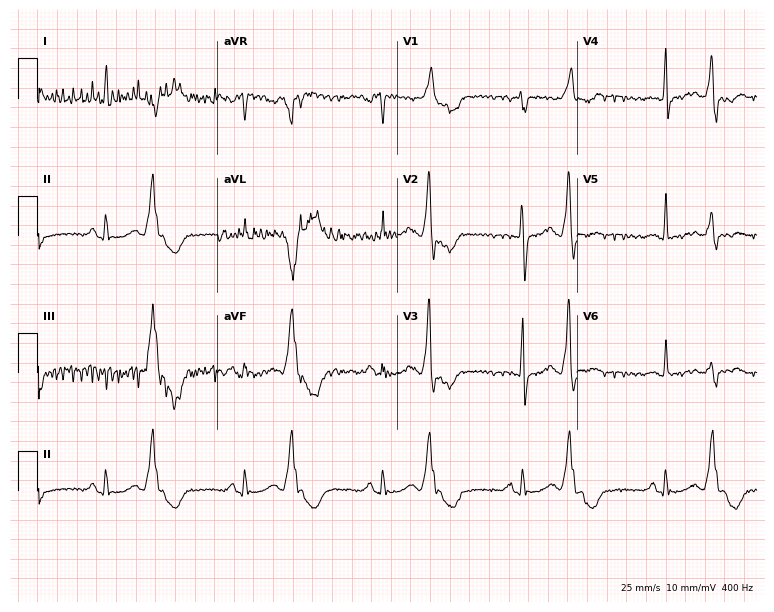
Resting 12-lead electrocardiogram. Patient: a female, 58 years old. None of these six findings is recorded: first-degree AV block, right bundle branch block, left bundle branch block, sinus bradycardia, atrial fibrillation, sinus tachycardia.